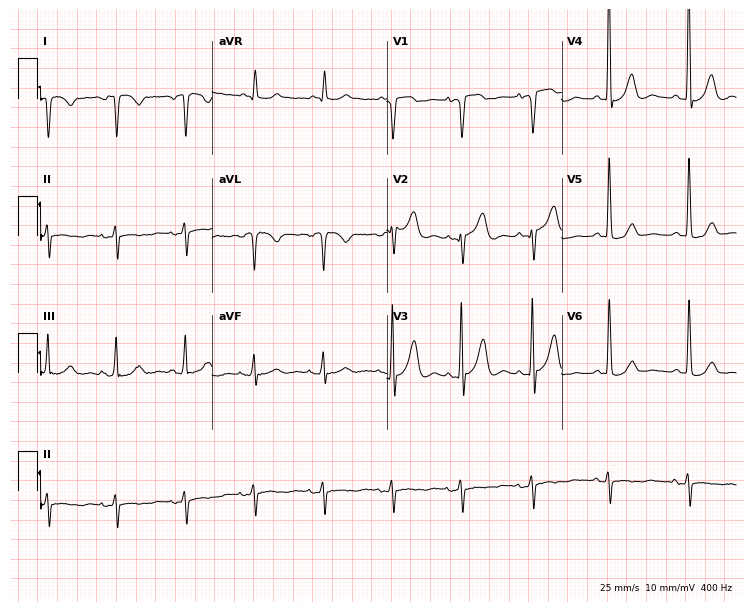
Electrocardiogram (7.1-second recording at 400 Hz), an 85-year-old male. Of the six screened findings (first-degree AV block, right bundle branch block, left bundle branch block, sinus bradycardia, atrial fibrillation, sinus tachycardia), none is recorded. Findings outside these six are not listed.